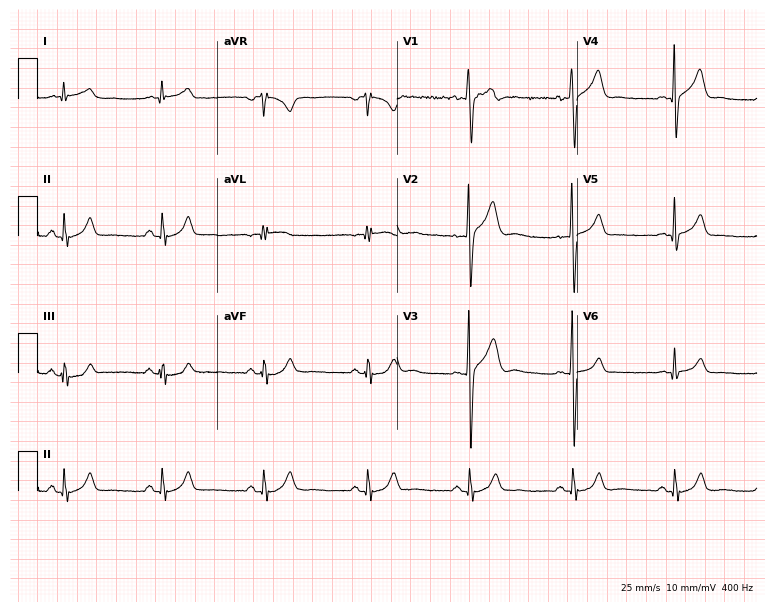
ECG — a male patient, 35 years old. Labelled as a normal ECG.